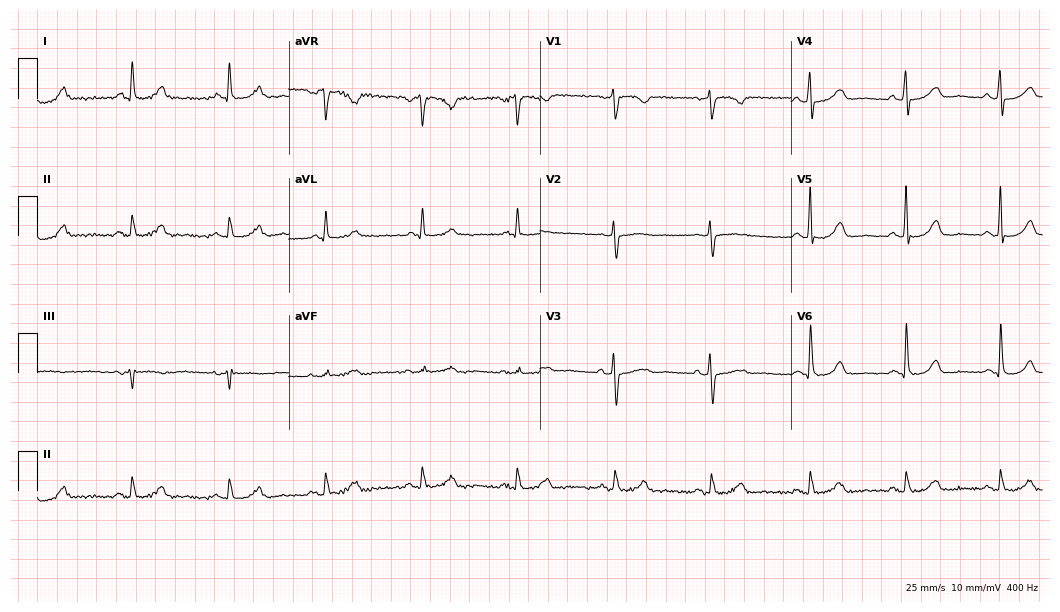
12-lead ECG from a 70-year-old woman. Screened for six findings — first-degree AV block, right bundle branch block, left bundle branch block, sinus bradycardia, atrial fibrillation, sinus tachycardia — none is recorded. Only these six findings were labelled.